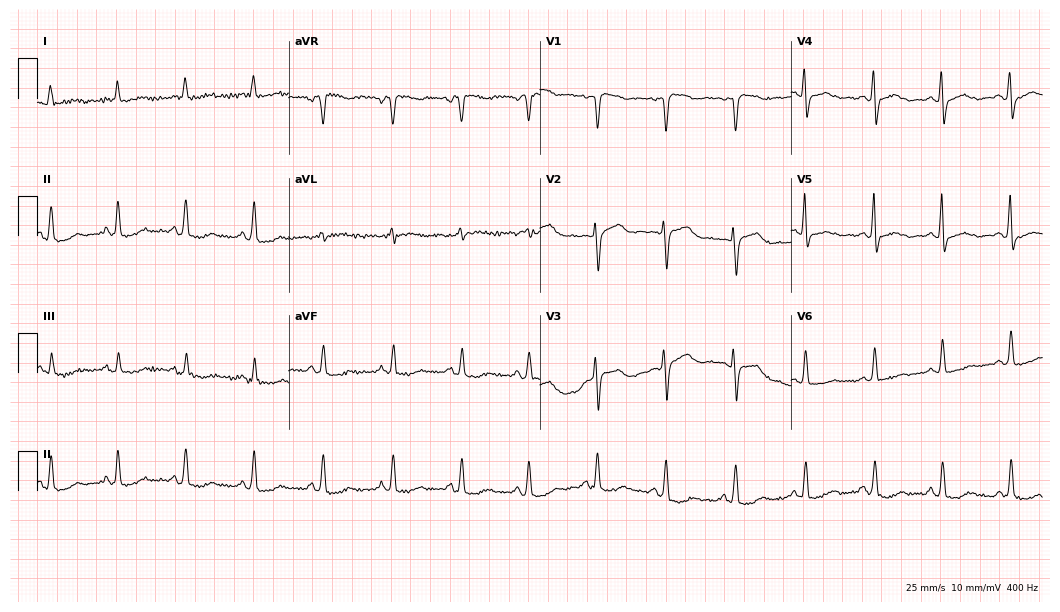
ECG (10.2-second recording at 400 Hz) — a woman, 75 years old. Screened for six findings — first-degree AV block, right bundle branch block, left bundle branch block, sinus bradycardia, atrial fibrillation, sinus tachycardia — none is recorded.